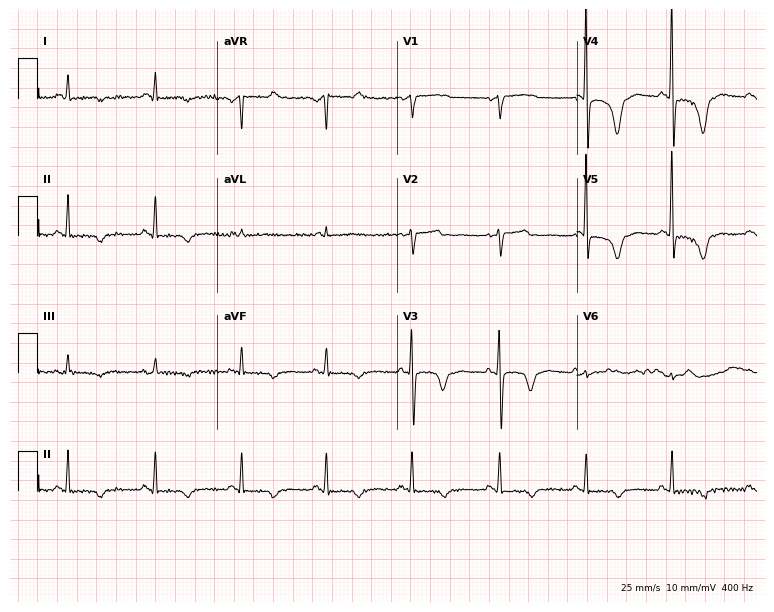
ECG — a woman, 64 years old. Screened for six findings — first-degree AV block, right bundle branch block (RBBB), left bundle branch block (LBBB), sinus bradycardia, atrial fibrillation (AF), sinus tachycardia — none is recorded.